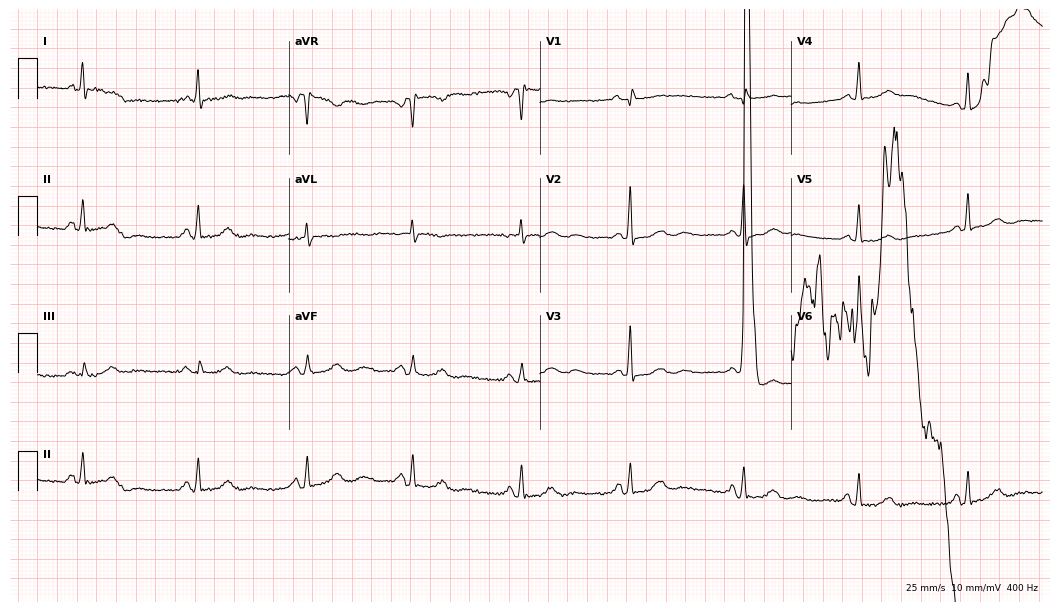
12-lead ECG (10.2-second recording at 400 Hz) from an 82-year-old female. Screened for six findings — first-degree AV block, right bundle branch block, left bundle branch block, sinus bradycardia, atrial fibrillation, sinus tachycardia — none is recorded. Findings outside these six are not listed.